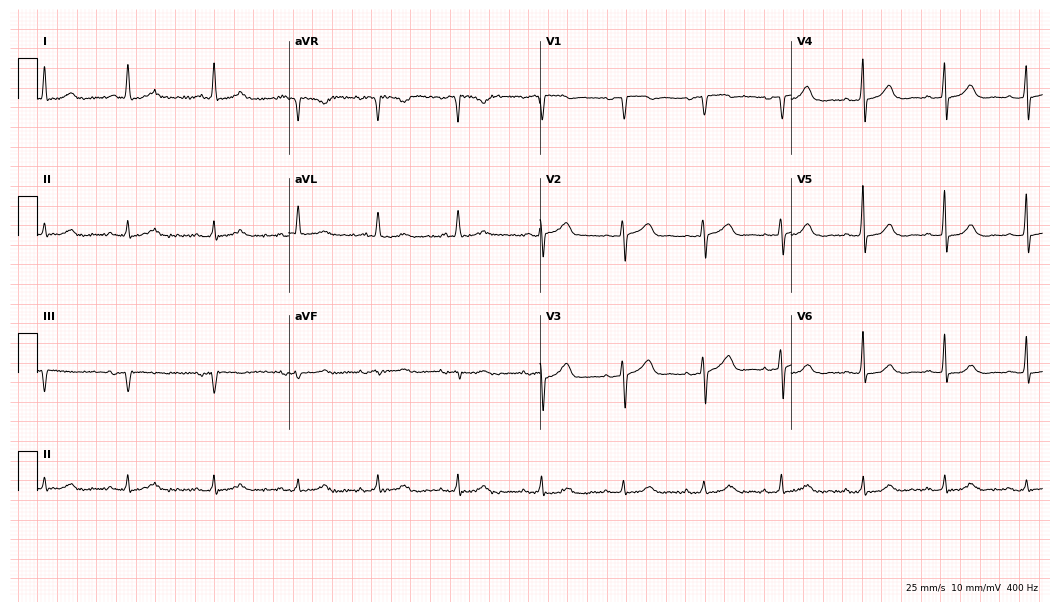
Electrocardiogram (10.2-second recording at 400 Hz), a woman, 69 years old. Overall reading on record: normal ECG.